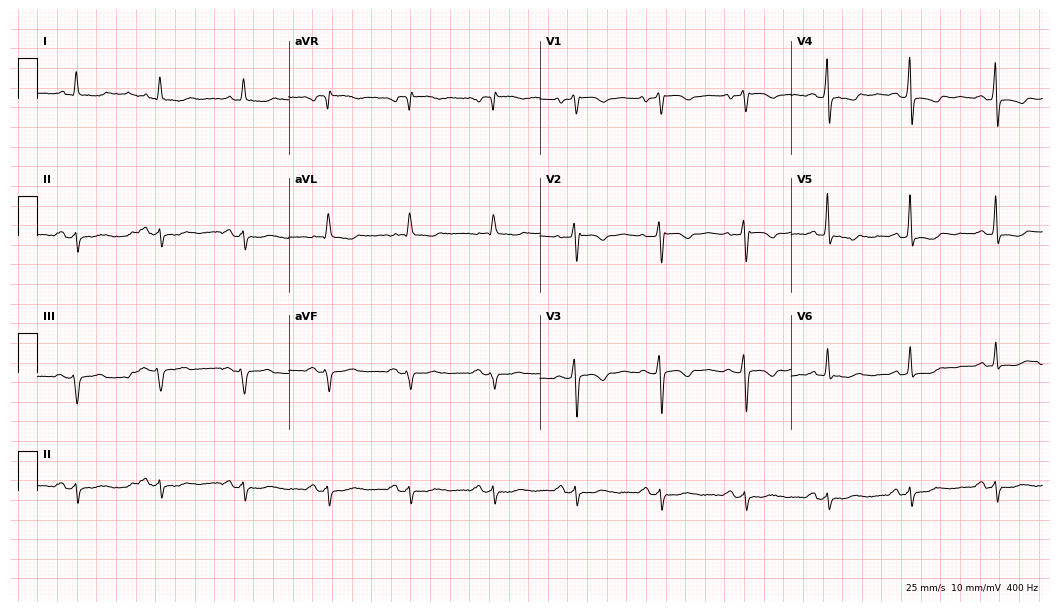
Standard 12-lead ECG recorded from a 78-year-old female patient (10.2-second recording at 400 Hz). None of these six findings is recorded: first-degree AV block, right bundle branch block, left bundle branch block, sinus bradycardia, atrial fibrillation, sinus tachycardia. Only these six findings were labelled.